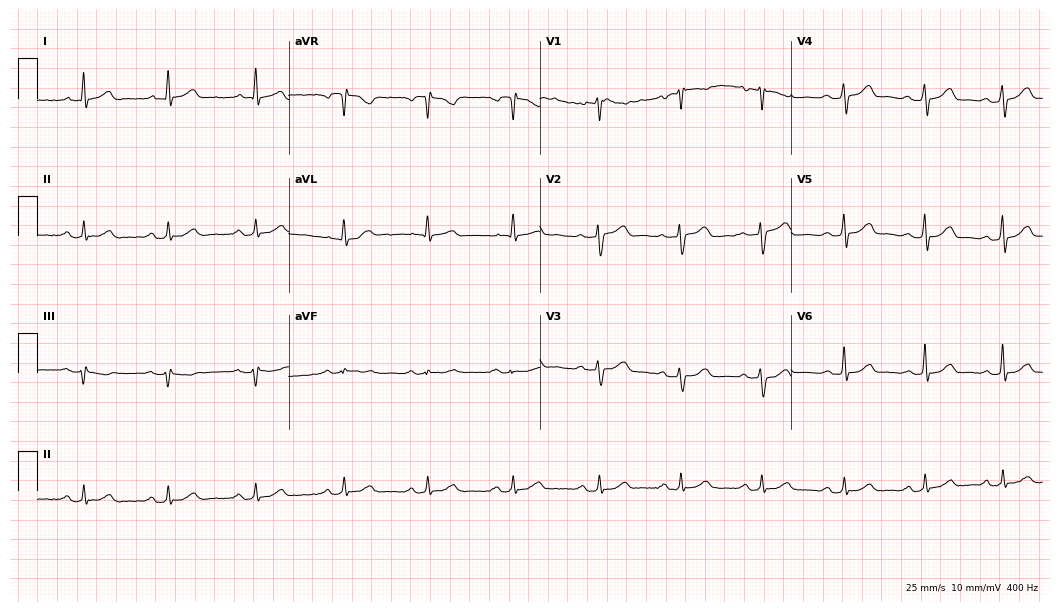
ECG — a male, 50 years old. Labelled as a normal ECG.